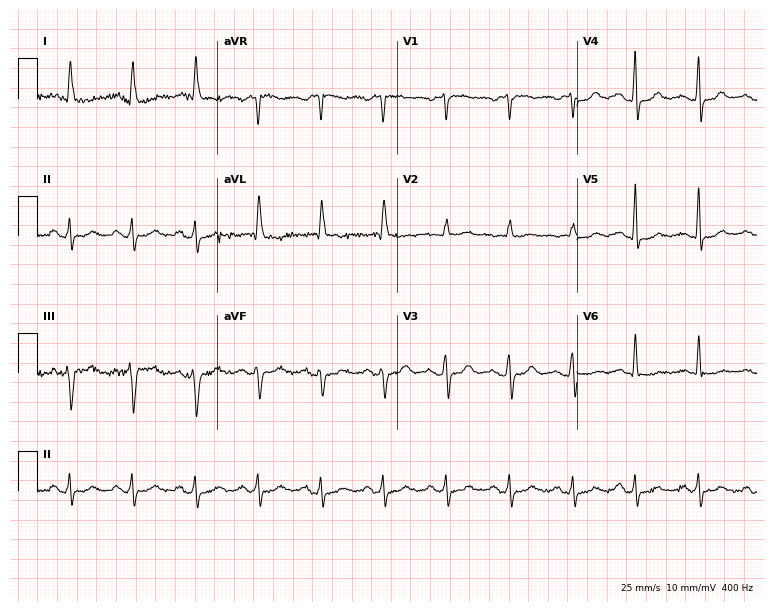
12-lead ECG from an 85-year-old female patient. No first-degree AV block, right bundle branch block, left bundle branch block, sinus bradycardia, atrial fibrillation or sinus tachycardia recorded for this tracing. Other findings, if any, are not listed.